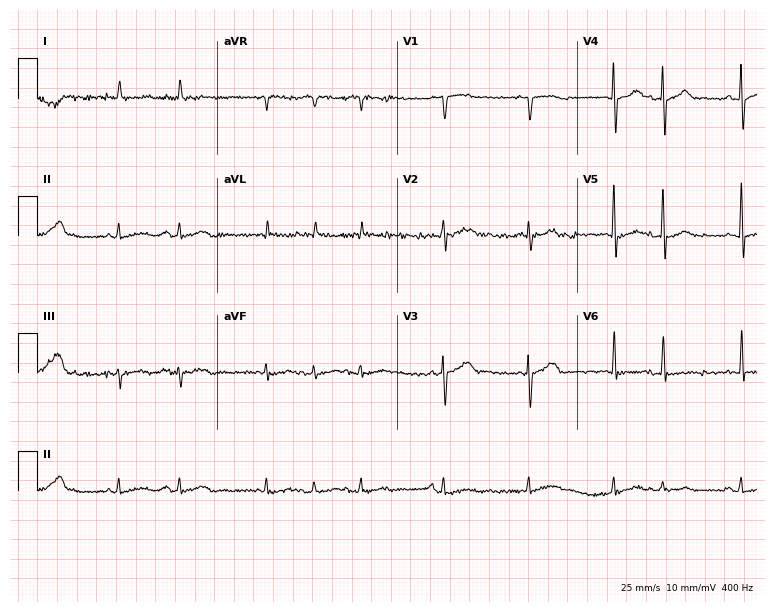
Resting 12-lead electrocardiogram (7.3-second recording at 400 Hz). Patient: an 84-year-old male. None of these six findings is recorded: first-degree AV block, right bundle branch block, left bundle branch block, sinus bradycardia, atrial fibrillation, sinus tachycardia. Only these six findings were labelled.